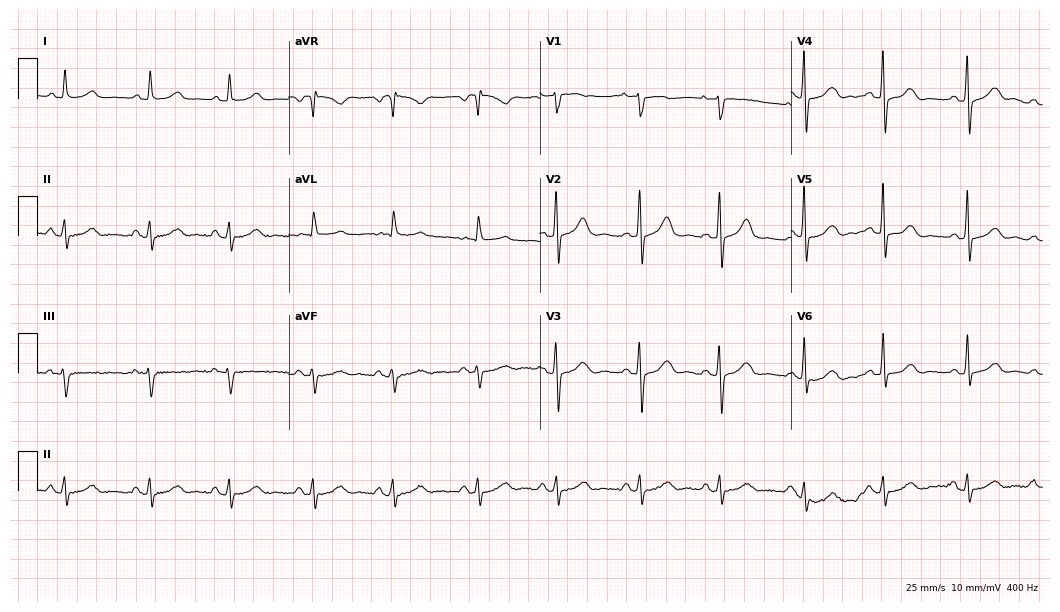
Resting 12-lead electrocardiogram (10.2-second recording at 400 Hz). Patient: a woman, 78 years old. None of these six findings is recorded: first-degree AV block, right bundle branch block (RBBB), left bundle branch block (LBBB), sinus bradycardia, atrial fibrillation (AF), sinus tachycardia.